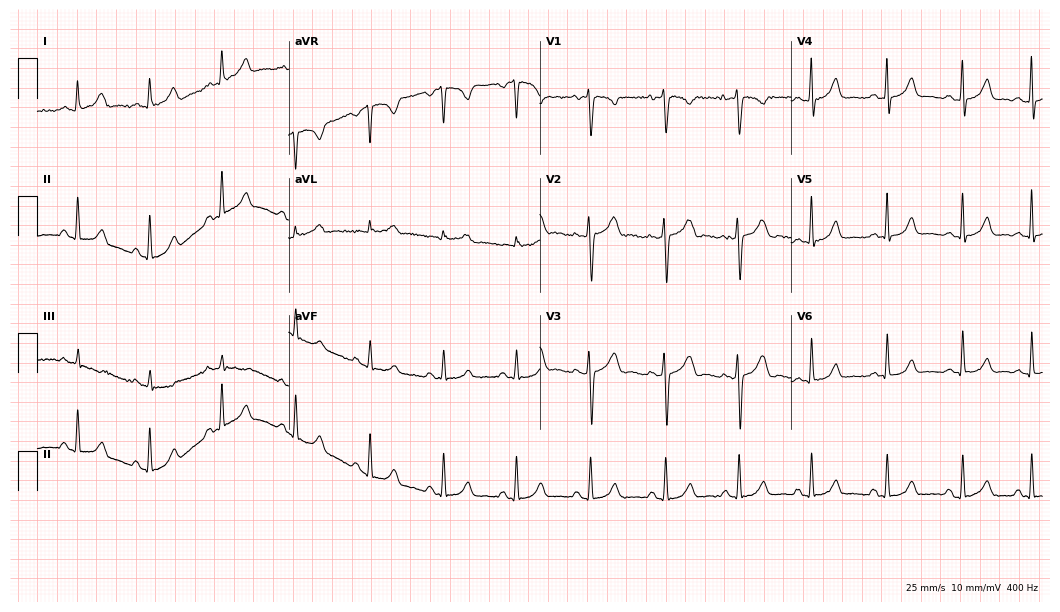
ECG (10.2-second recording at 400 Hz) — a female patient, 34 years old. Labelled as a normal ECG.